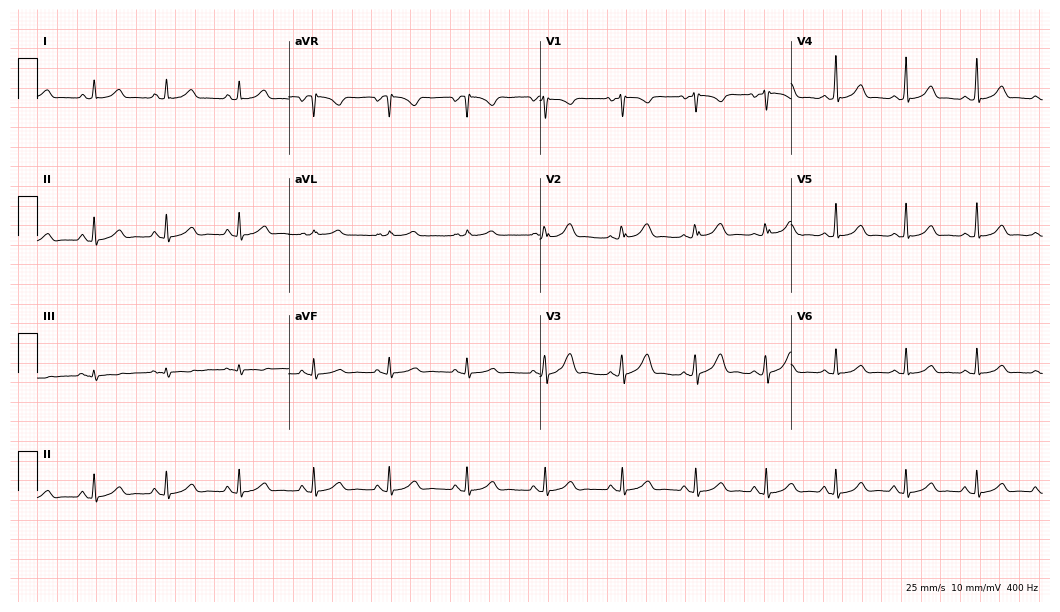
Standard 12-lead ECG recorded from an 18-year-old woman. Read as a normal ECG.